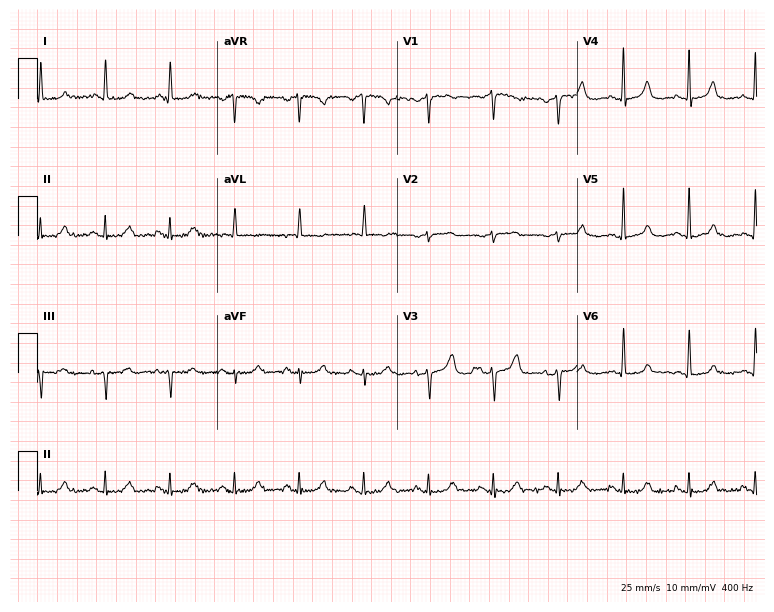
ECG (7.3-second recording at 400 Hz) — a female patient, 84 years old. Screened for six findings — first-degree AV block, right bundle branch block, left bundle branch block, sinus bradycardia, atrial fibrillation, sinus tachycardia — none is recorded. Other findings, if any, are not listed.